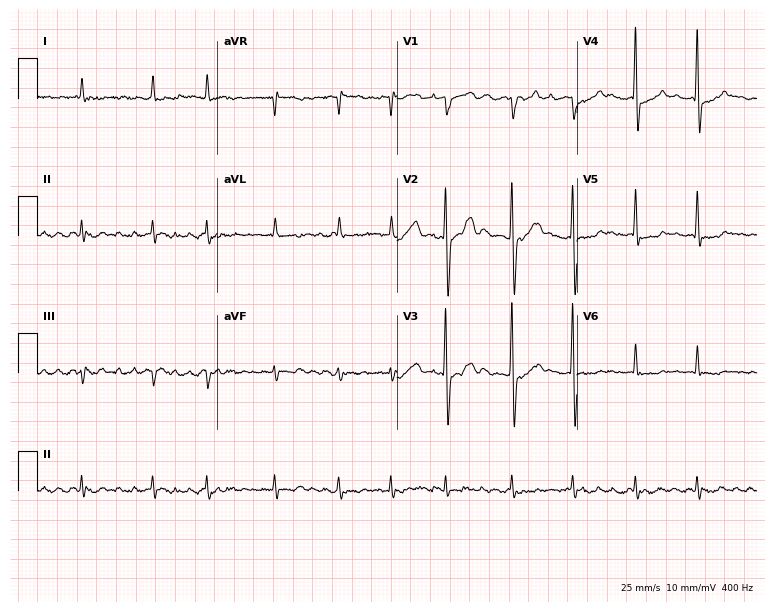
Resting 12-lead electrocardiogram. Patient: a 76-year-old male. The tracing shows atrial fibrillation.